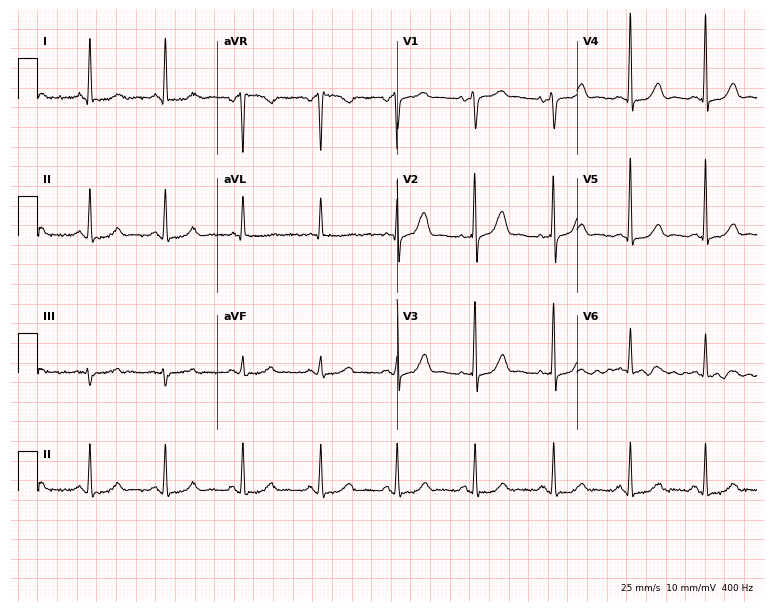
12-lead ECG (7.3-second recording at 400 Hz) from a woman, 61 years old. Labelled as a normal ECG.